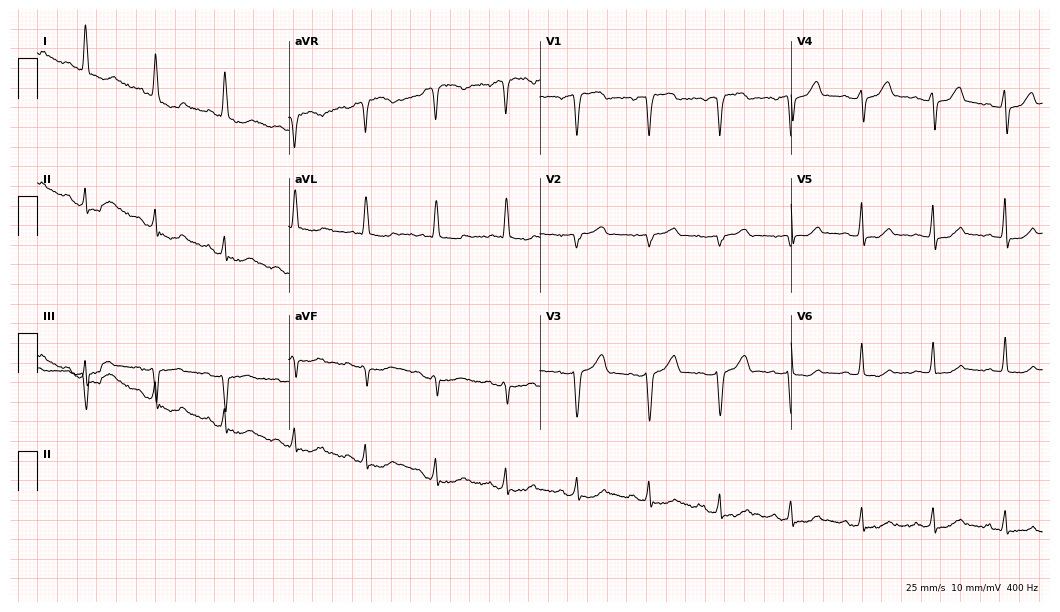
ECG (10.2-second recording at 400 Hz) — a 70-year-old woman. Screened for six findings — first-degree AV block, right bundle branch block (RBBB), left bundle branch block (LBBB), sinus bradycardia, atrial fibrillation (AF), sinus tachycardia — none is recorded. Only these six findings were labelled.